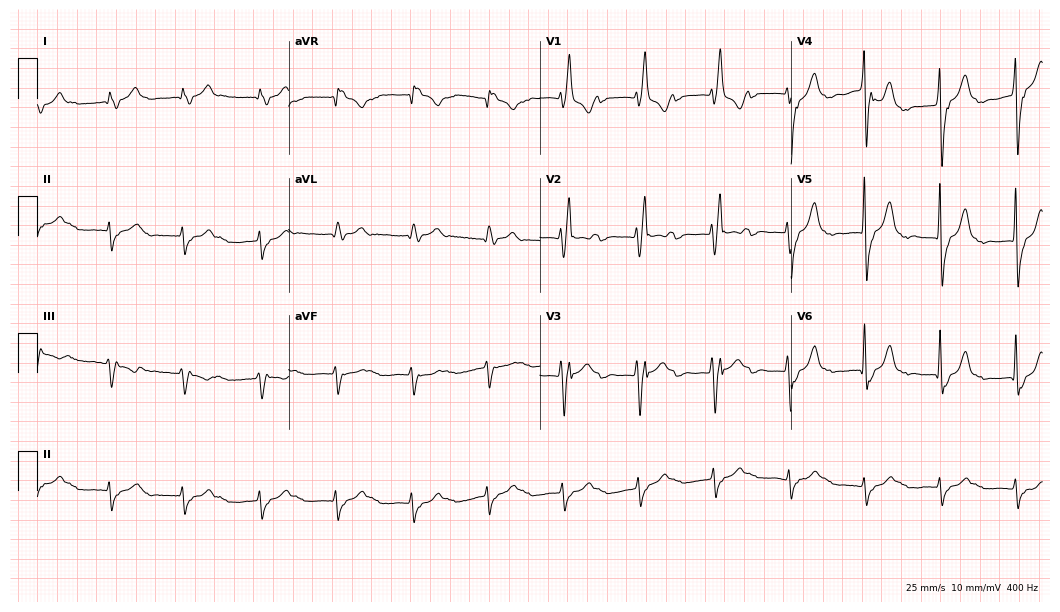
12-lead ECG from a male, 80 years old (10.2-second recording at 400 Hz). No first-degree AV block, right bundle branch block, left bundle branch block, sinus bradycardia, atrial fibrillation or sinus tachycardia recorded for this tracing. Other findings, if any, are not listed.